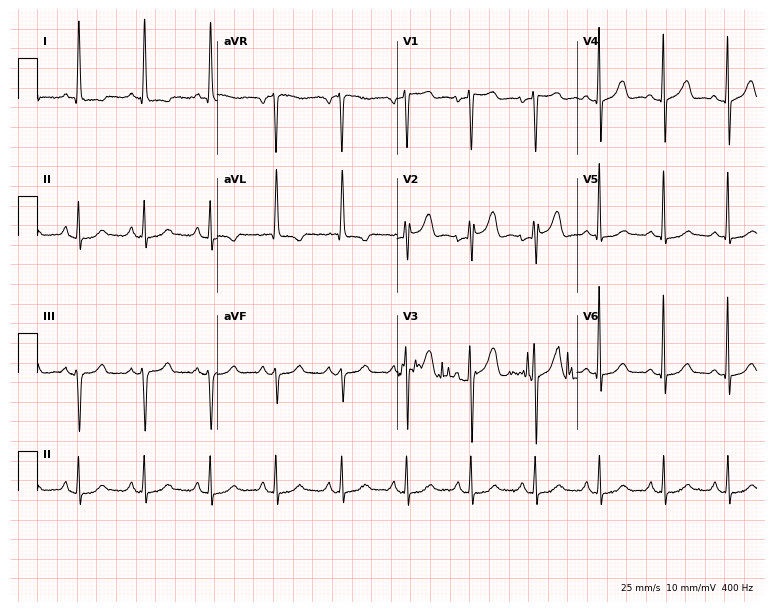
Standard 12-lead ECG recorded from a woman, 70 years old (7.3-second recording at 400 Hz). Read as a normal ECG.